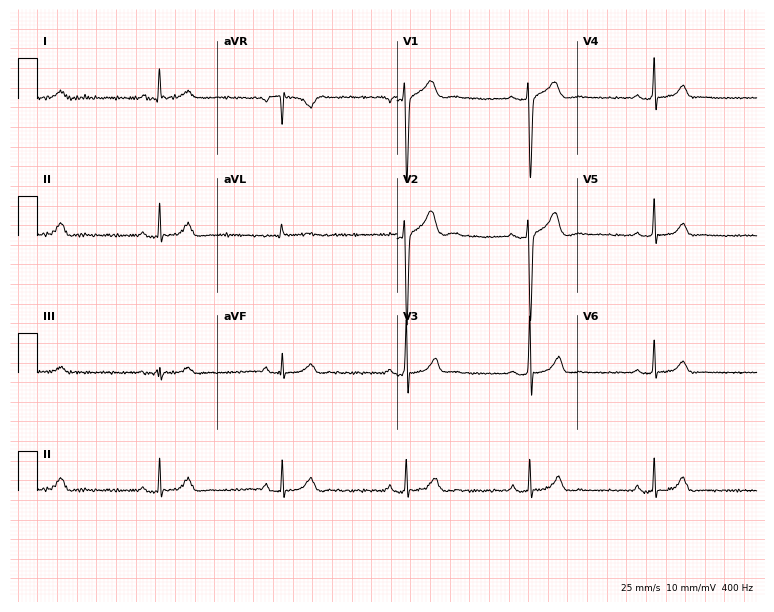
12-lead ECG from a female patient, 24 years old. Recorded interpretation: within normal limits.